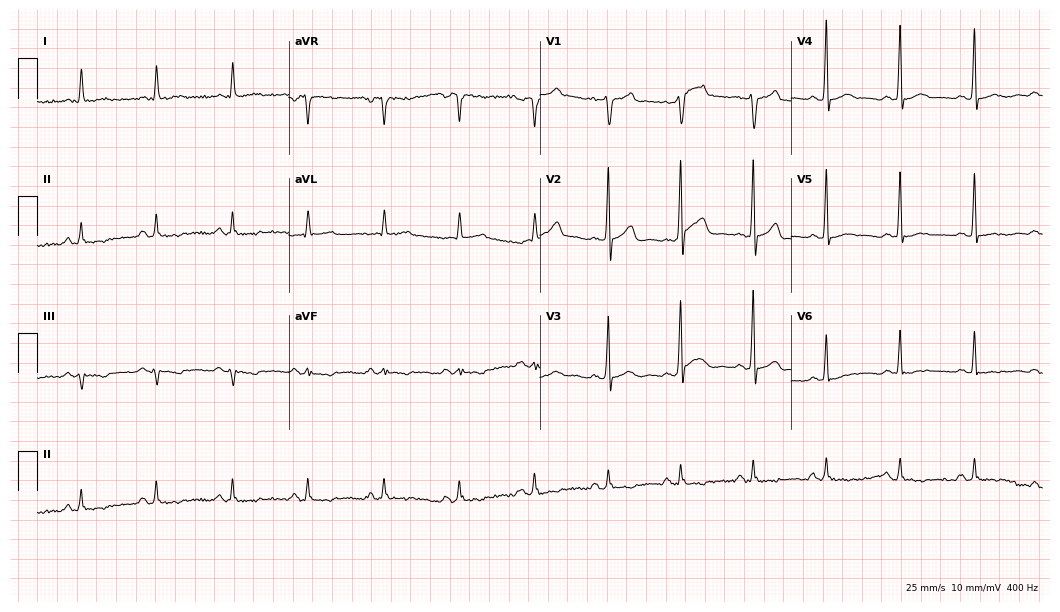
Resting 12-lead electrocardiogram (10.2-second recording at 400 Hz). Patient: a 71-year-old male. None of these six findings is recorded: first-degree AV block, right bundle branch block, left bundle branch block, sinus bradycardia, atrial fibrillation, sinus tachycardia.